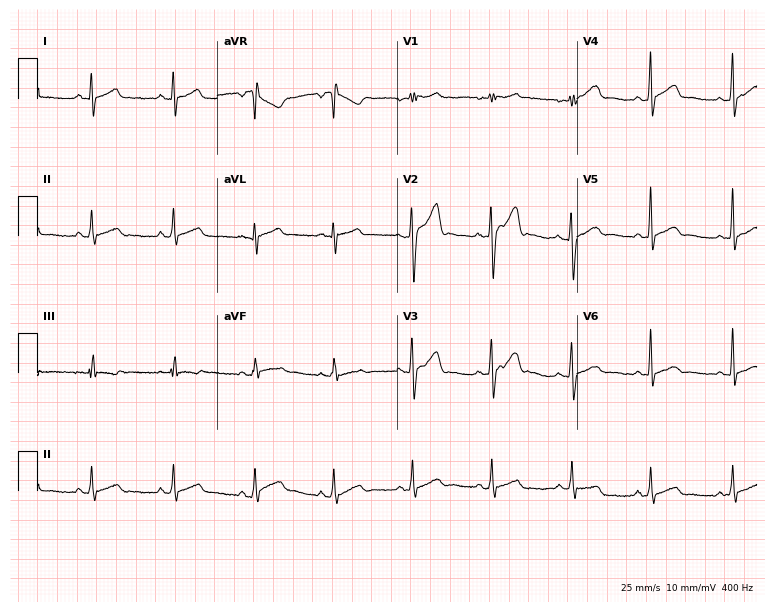
Electrocardiogram, a 30-year-old man. Overall reading on record: normal ECG.